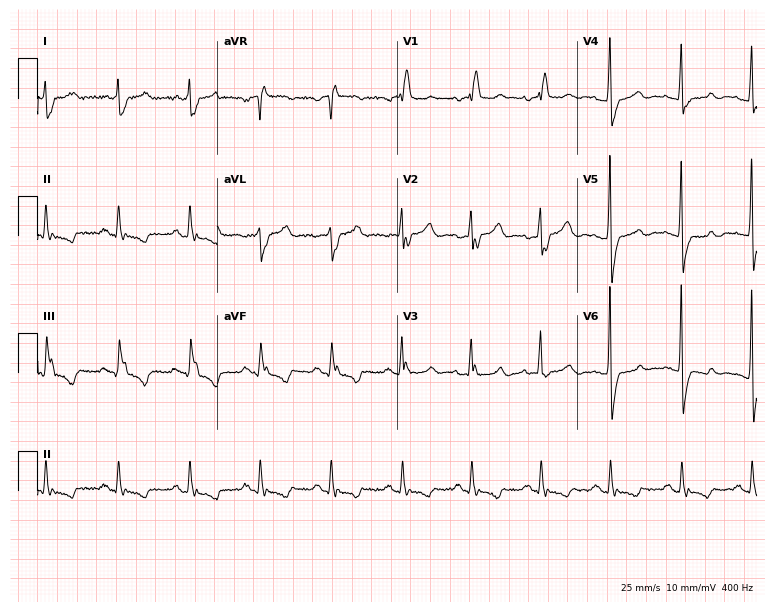
Electrocardiogram (7.3-second recording at 400 Hz), a 78-year-old male patient. Interpretation includes right bundle branch block.